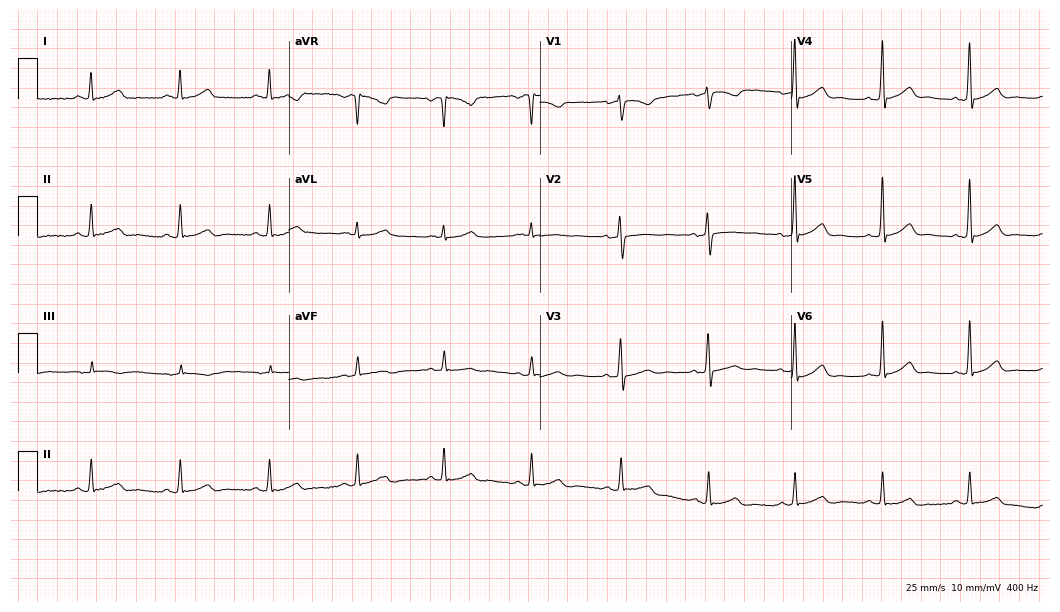
12-lead ECG from a 56-year-old female (10.2-second recording at 400 Hz). Recorded interpretation: within normal limits.